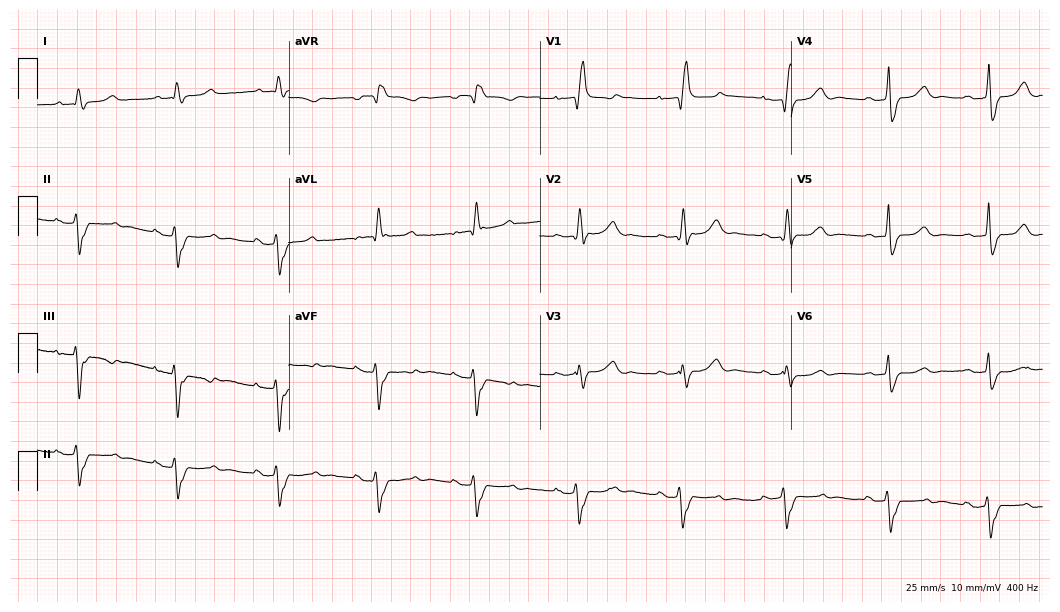
12-lead ECG from a female, 61 years old. Screened for six findings — first-degree AV block, right bundle branch block, left bundle branch block, sinus bradycardia, atrial fibrillation, sinus tachycardia — none is recorded. Findings outside these six are not listed.